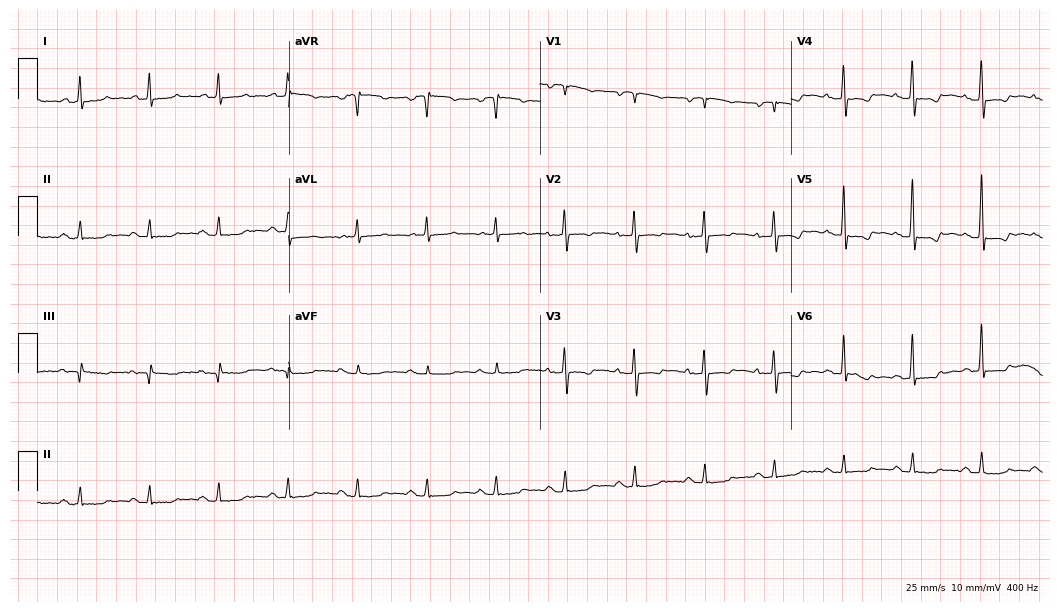
Electrocardiogram, a female, 68 years old. Of the six screened findings (first-degree AV block, right bundle branch block (RBBB), left bundle branch block (LBBB), sinus bradycardia, atrial fibrillation (AF), sinus tachycardia), none is recorded.